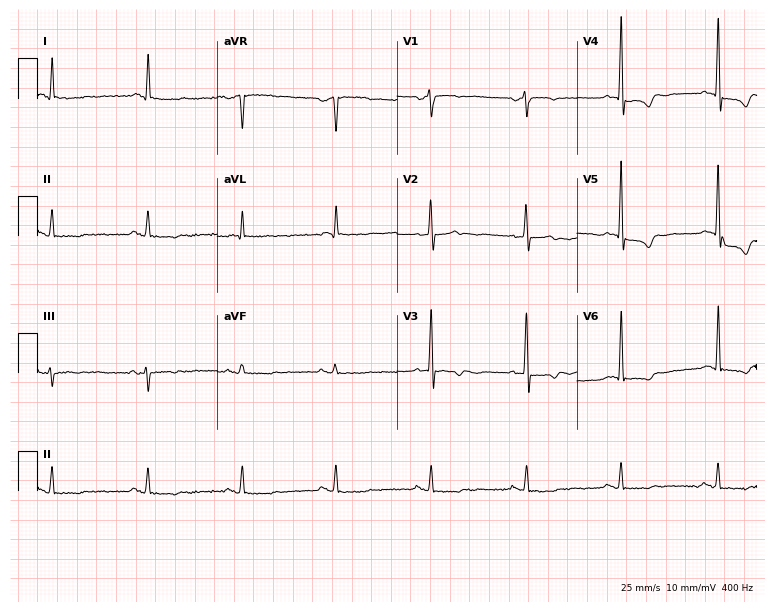
Electrocardiogram, a male, 78 years old. Of the six screened findings (first-degree AV block, right bundle branch block, left bundle branch block, sinus bradycardia, atrial fibrillation, sinus tachycardia), none is recorded.